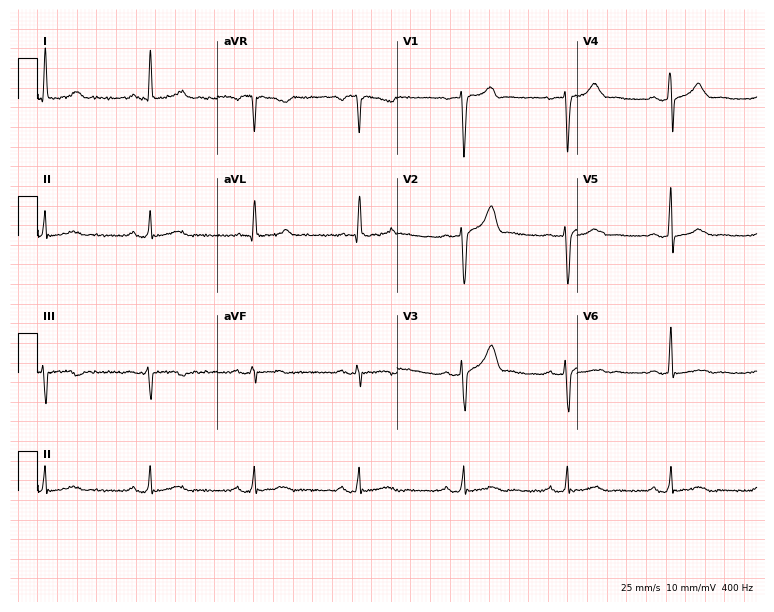
Standard 12-lead ECG recorded from a 53-year-old male. Read as a normal ECG.